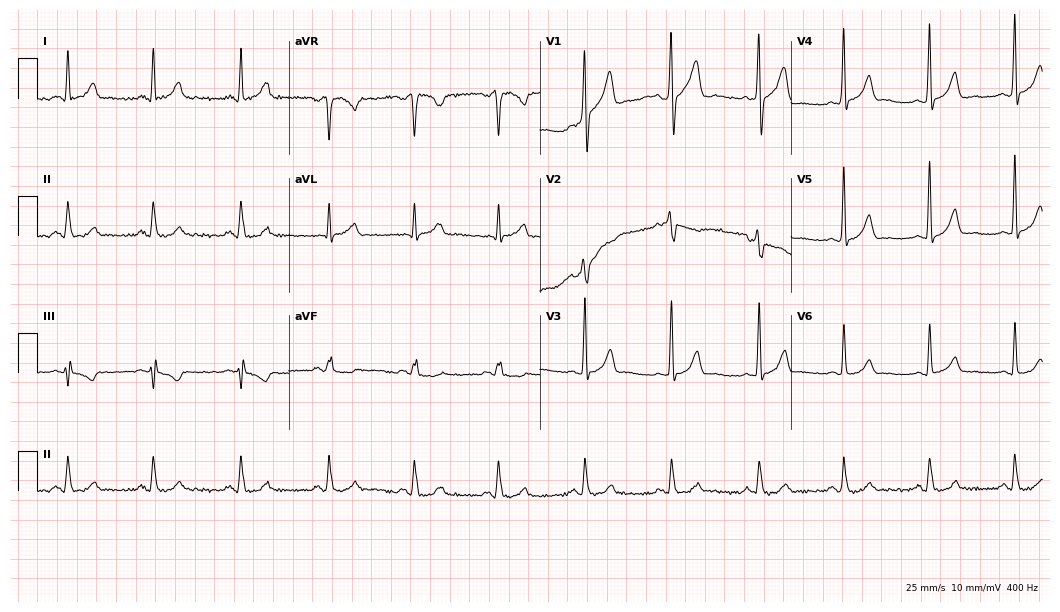
Electrocardiogram (10.2-second recording at 400 Hz), a 48-year-old male. Overall reading on record: normal ECG.